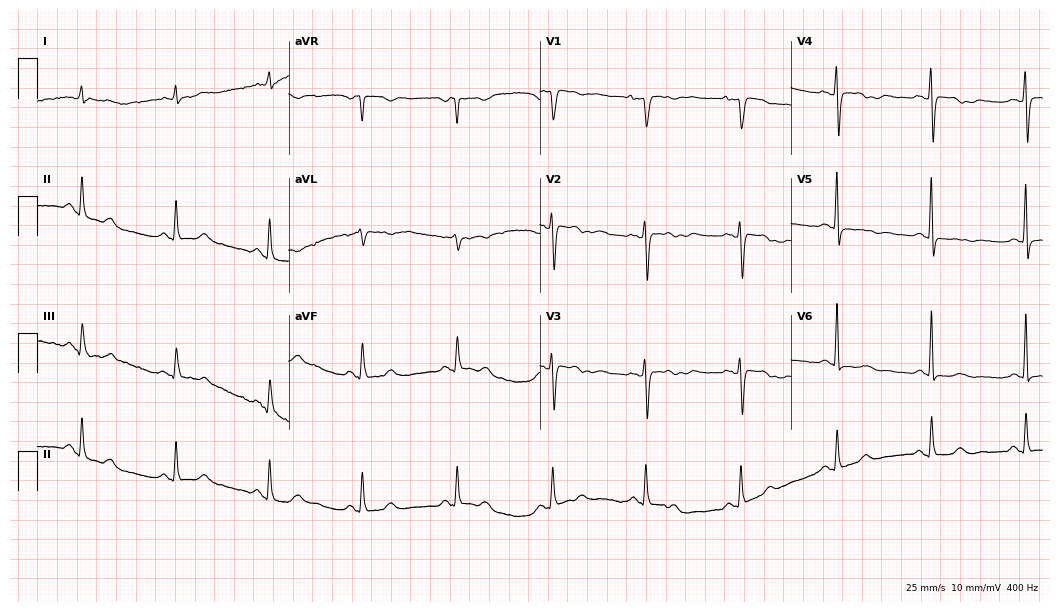
12-lead ECG from a female patient, 70 years old (10.2-second recording at 400 Hz). No first-degree AV block, right bundle branch block (RBBB), left bundle branch block (LBBB), sinus bradycardia, atrial fibrillation (AF) or sinus tachycardia recorded for this tracing. Other findings, if any, are not listed.